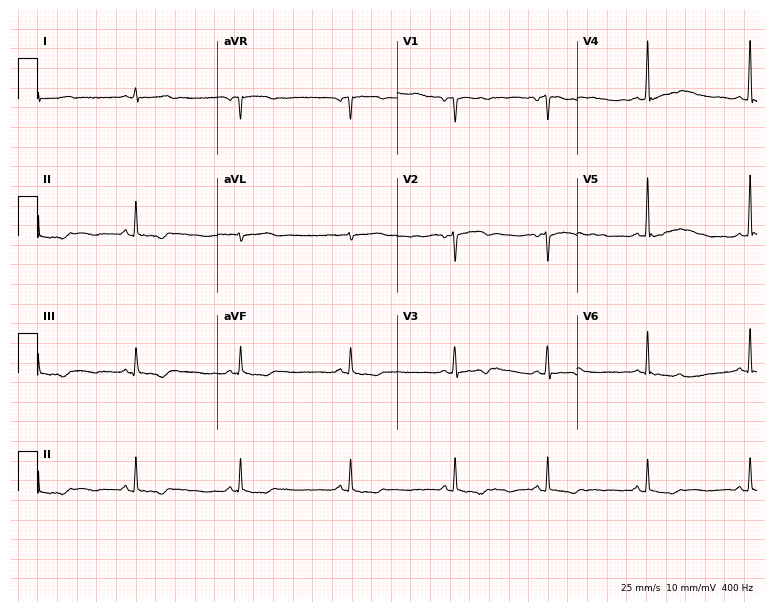
ECG — a 27-year-old woman. Screened for six findings — first-degree AV block, right bundle branch block, left bundle branch block, sinus bradycardia, atrial fibrillation, sinus tachycardia — none is recorded.